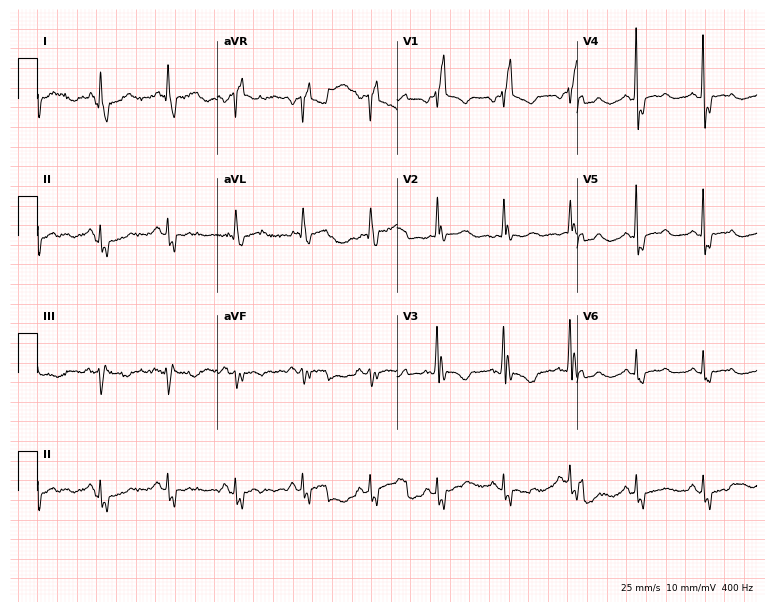
Standard 12-lead ECG recorded from a woman, 75 years old. None of these six findings is recorded: first-degree AV block, right bundle branch block, left bundle branch block, sinus bradycardia, atrial fibrillation, sinus tachycardia. Findings outside these six are not listed.